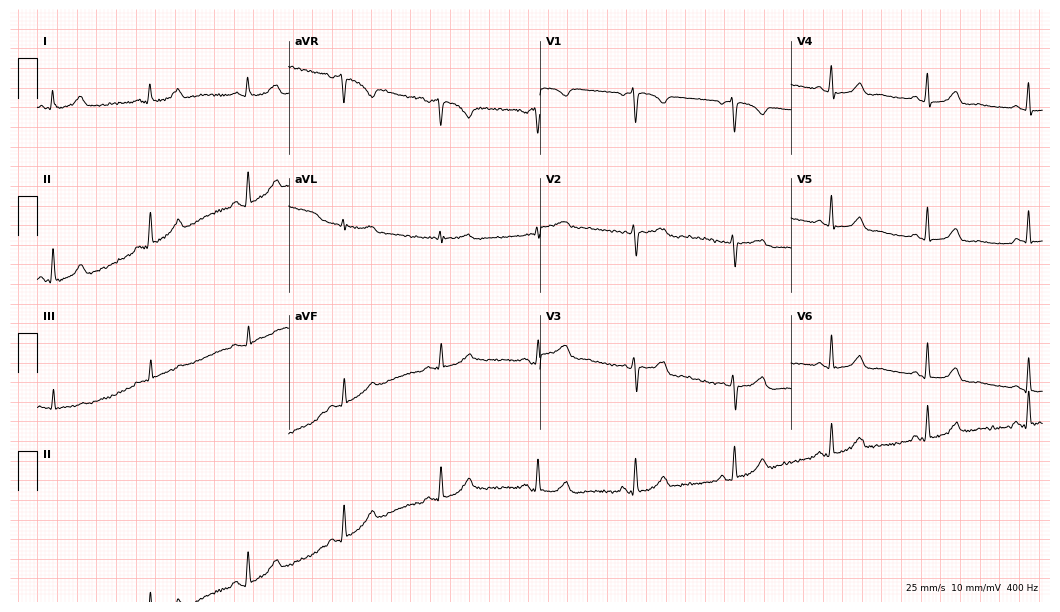
Resting 12-lead electrocardiogram (10.2-second recording at 400 Hz). Patient: a female, 48 years old. Read as a normal ECG.